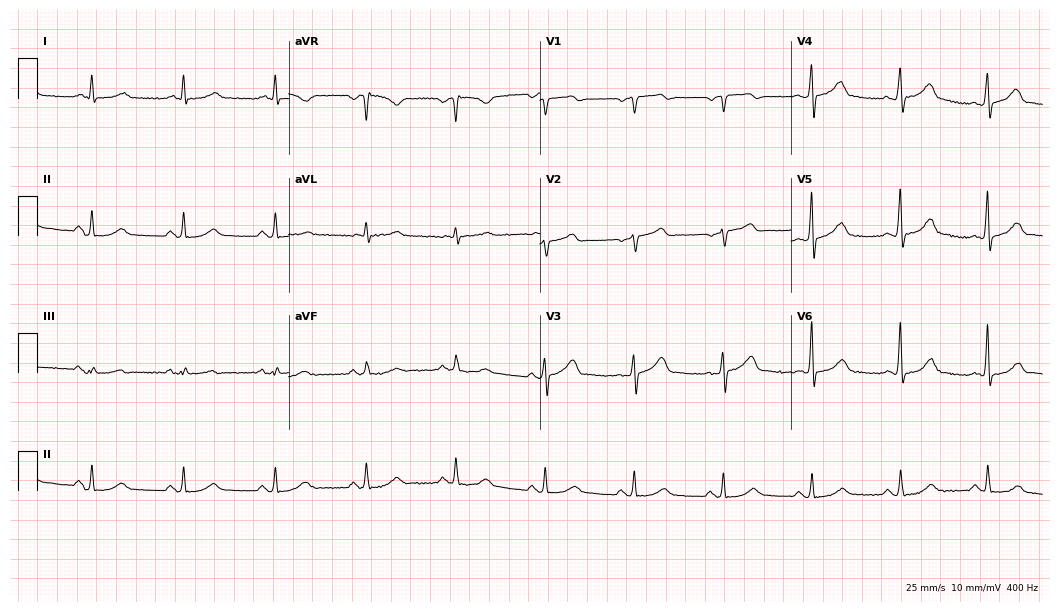
Electrocardiogram (10.2-second recording at 400 Hz), a 66-year-old man. Overall reading on record: normal ECG.